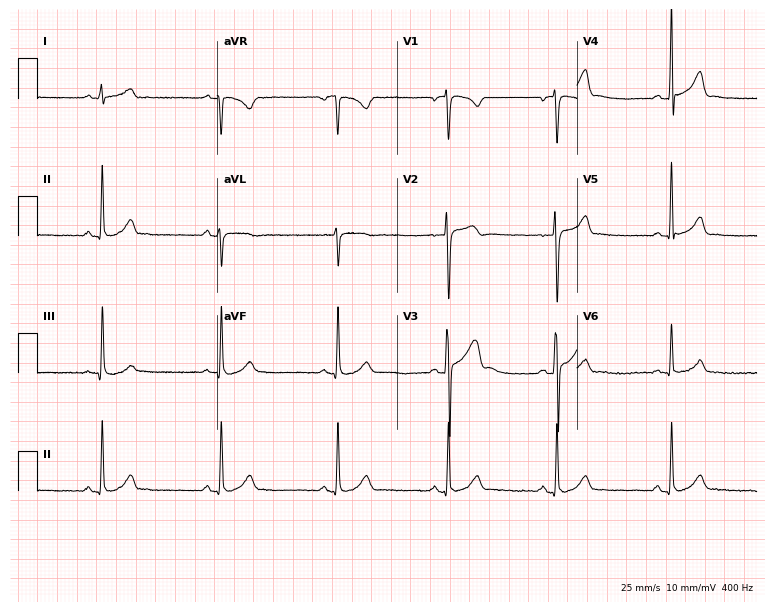
ECG (7.3-second recording at 400 Hz) — a man, 21 years old. Labelled as a normal ECG.